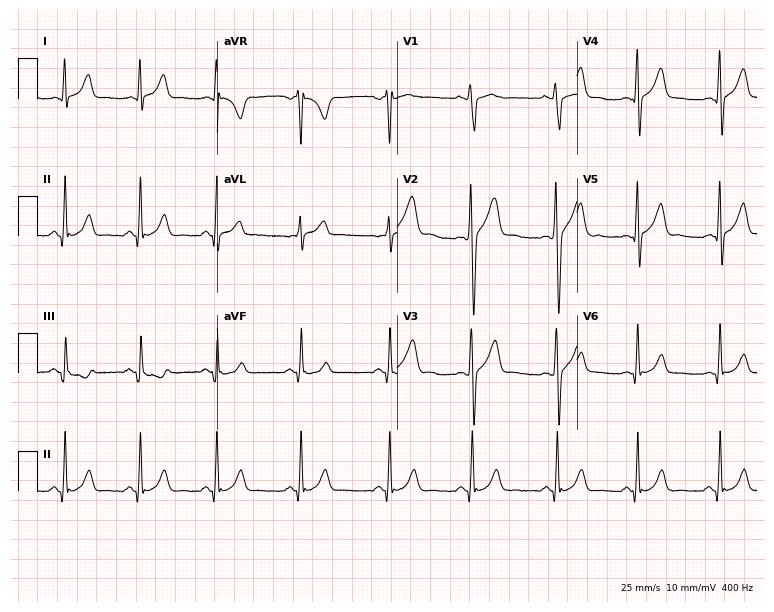
12-lead ECG (7.3-second recording at 400 Hz) from a 19-year-old male. Screened for six findings — first-degree AV block, right bundle branch block, left bundle branch block, sinus bradycardia, atrial fibrillation, sinus tachycardia — none is recorded.